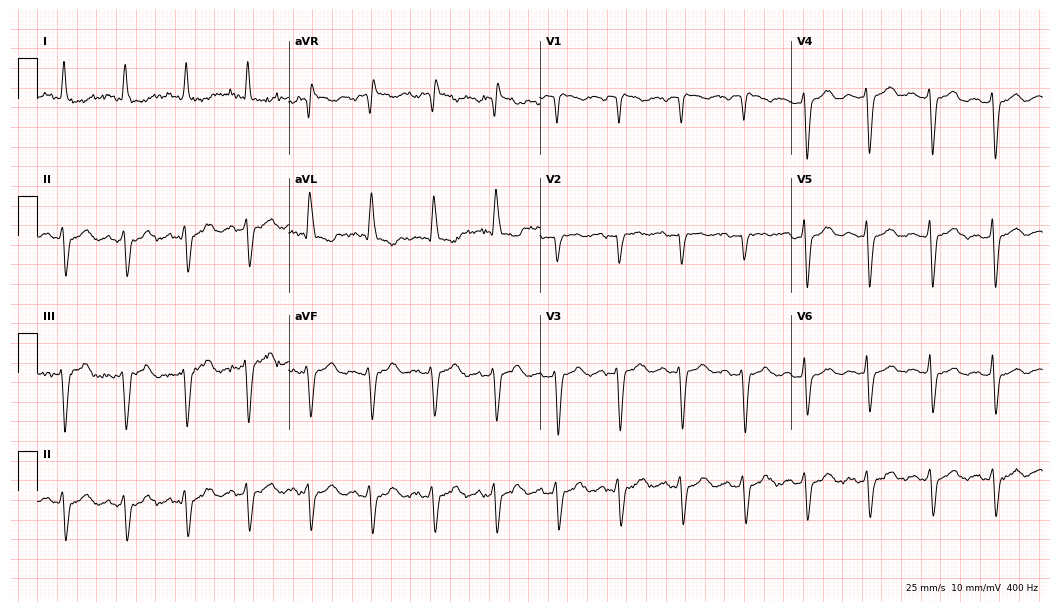
Electrocardiogram (10.2-second recording at 400 Hz), a 68-year-old female. Of the six screened findings (first-degree AV block, right bundle branch block, left bundle branch block, sinus bradycardia, atrial fibrillation, sinus tachycardia), none is recorded. Findings outside these six are not listed.